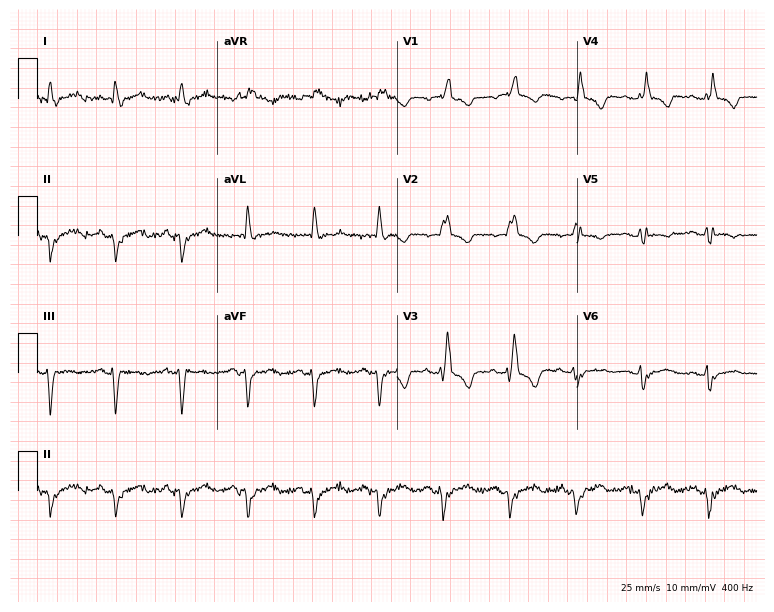
Resting 12-lead electrocardiogram (7.3-second recording at 400 Hz). Patient: a man, 73 years old. None of these six findings is recorded: first-degree AV block, right bundle branch block (RBBB), left bundle branch block (LBBB), sinus bradycardia, atrial fibrillation (AF), sinus tachycardia. Only these six findings were labelled.